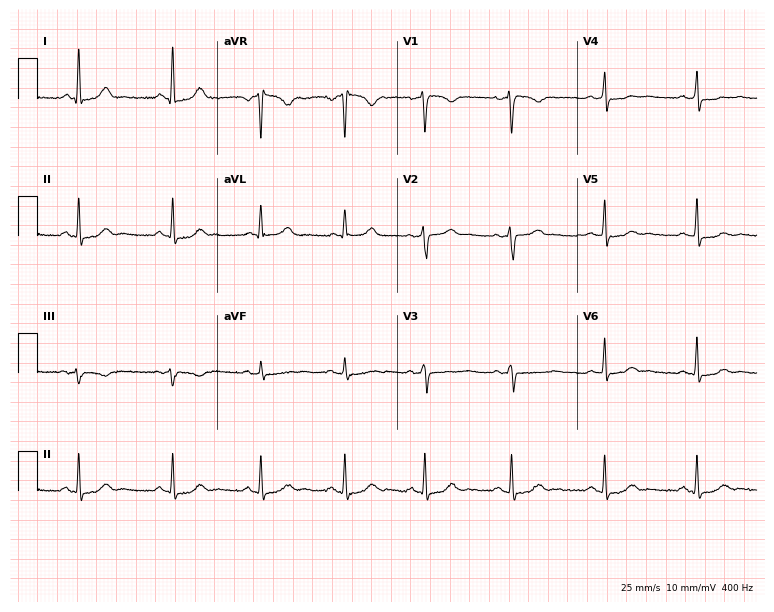
ECG — a female patient, 47 years old. Screened for six findings — first-degree AV block, right bundle branch block, left bundle branch block, sinus bradycardia, atrial fibrillation, sinus tachycardia — none is recorded.